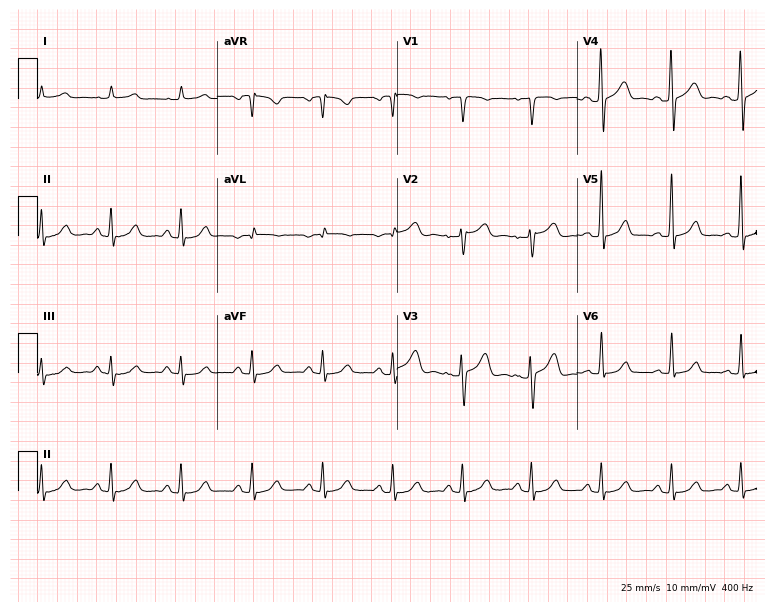
Resting 12-lead electrocardiogram (7.3-second recording at 400 Hz). Patient: a woman, 62 years old. None of these six findings is recorded: first-degree AV block, right bundle branch block, left bundle branch block, sinus bradycardia, atrial fibrillation, sinus tachycardia. Other findings, if any, are not listed.